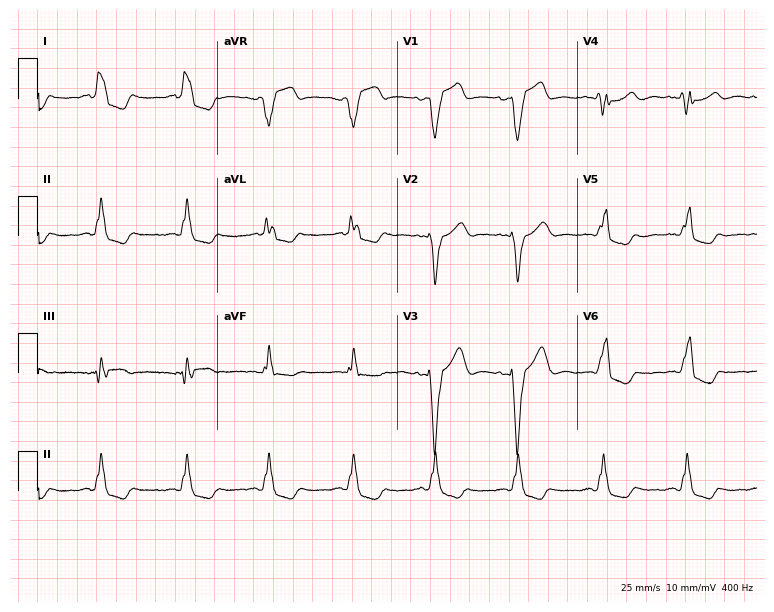
Standard 12-lead ECG recorded from a female, 71 years old. The tracing shows left bundle branch block.